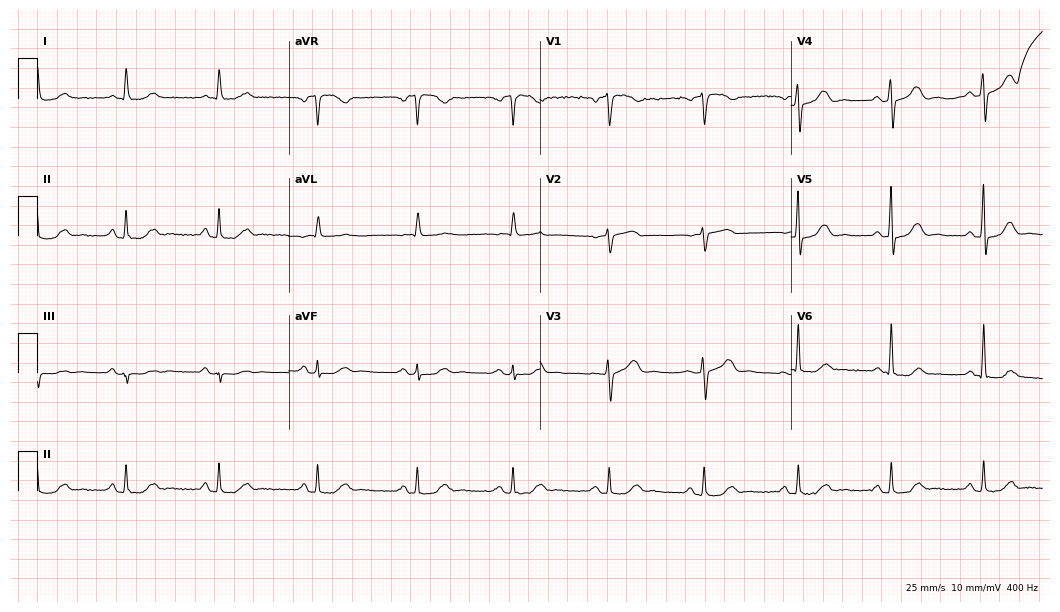
12-lead ECG (10.2-second recording at 400 Hz) from an 80-year-old male patient. Labelled as a normal ECG.